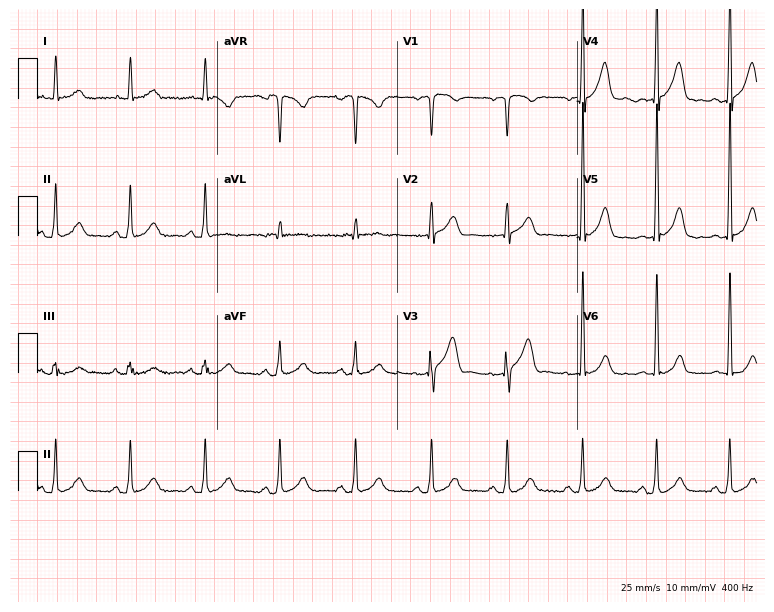
12-lead ECG (7.3-second recording at 400 Hz) from a 69-year-old male patient. Labelled as a normal ECG.